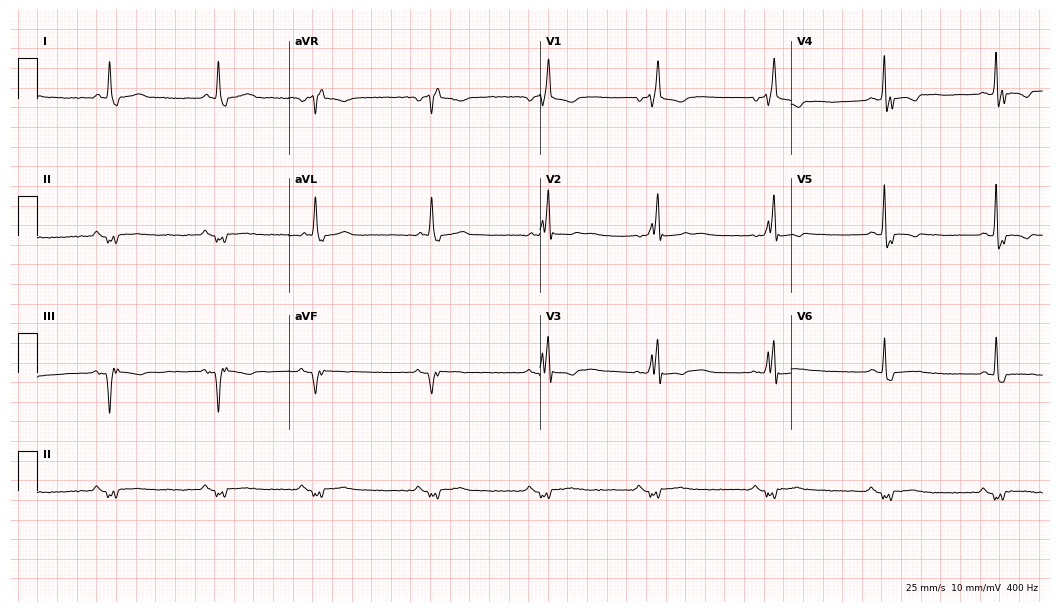
12-lead ECG (10.2-second recording at 400 Hz) from a 65-year-old man. Screened for six findings — first-degree AV block, right bundle branch block, left bundle branch block, sinus bradycardia, atrial fibrillation, sinus tachycardia — none is recorded.